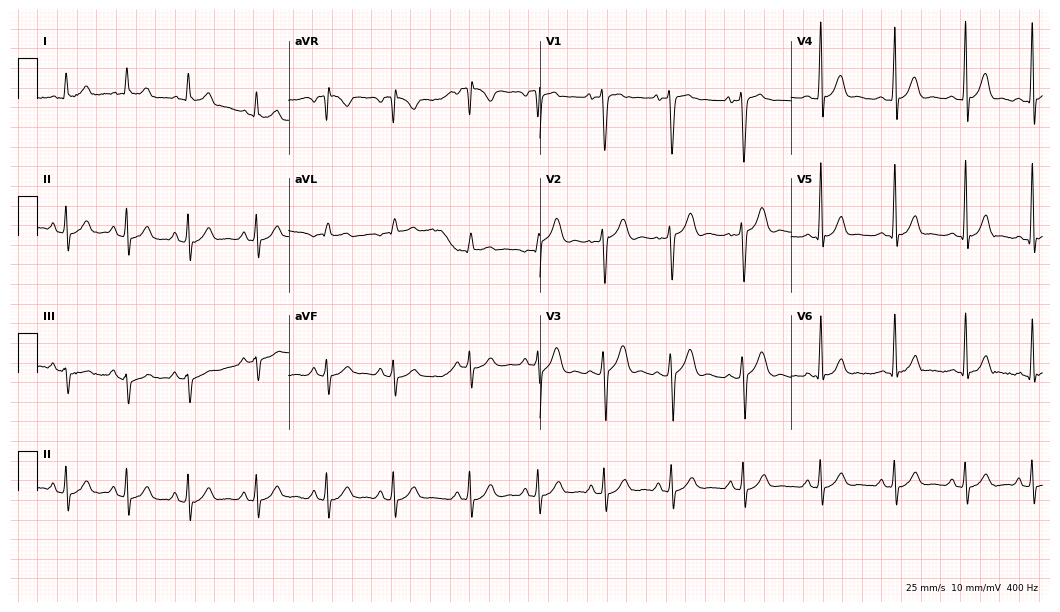
Electrocardiogram (10.2-second recording at 400 Hz), an 18-year-old male. Overall reading on record: normal ECG.